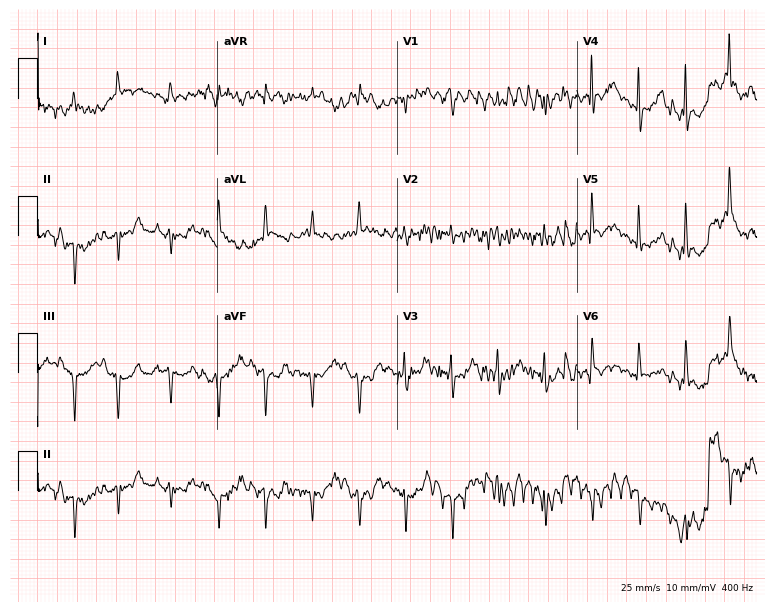
12-lead ECG from a male patient, 80 years old. Screened for six findings — first-degree AV block, right bundle branch block, left bundle branch block, sinus bradycardia, atrial fibrillation, sinus tachycardia — none is recorded. Only these six findings were labelled.